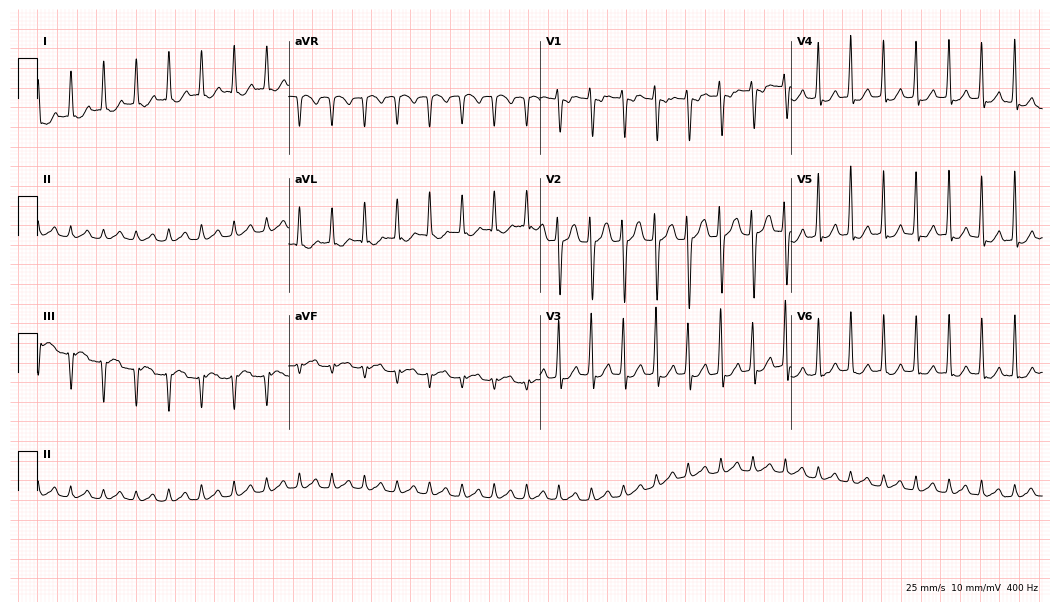
12-lead ECG from a 27-year-old female. Screened for six findings — first-degree AV block, right bundle branch block, left bundle branch block, sinus bradycardia, atrial fibrillation, sinus tachycardia — none is recorded. Findings outside these six are not listed.